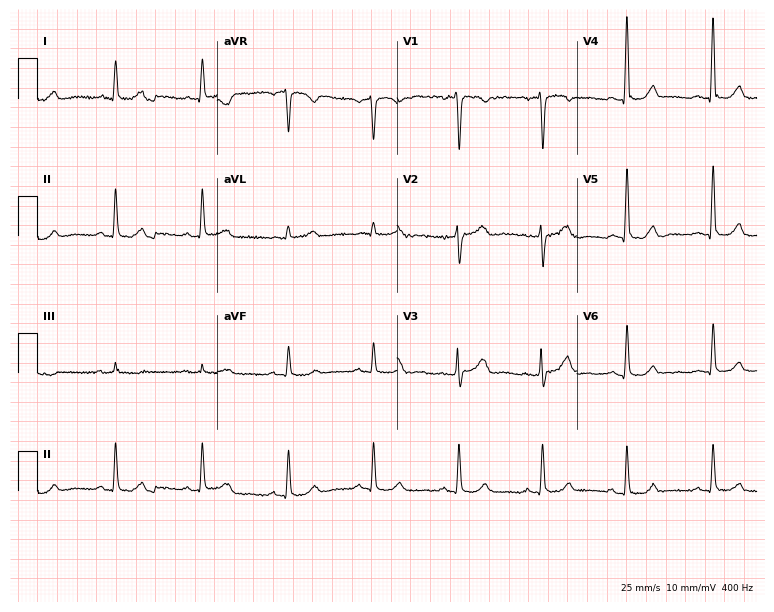
Electrocardiogram (7.3-second recording at 400 Hz), a 53-year-old female patient. Of the six screened findings (first-degree AV block, right bundle branch block, left bundle branch block, sinus bradycardia, atrial fibrillation, sinus tachycardia), none is recorded. Only these six findings were labelled.